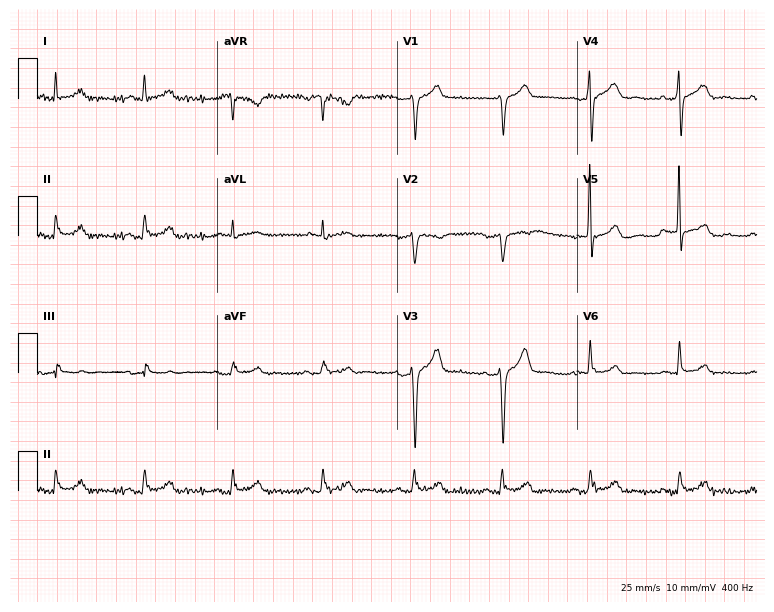
ECG — a 51-year-old male. Labelled as a normal ECG.